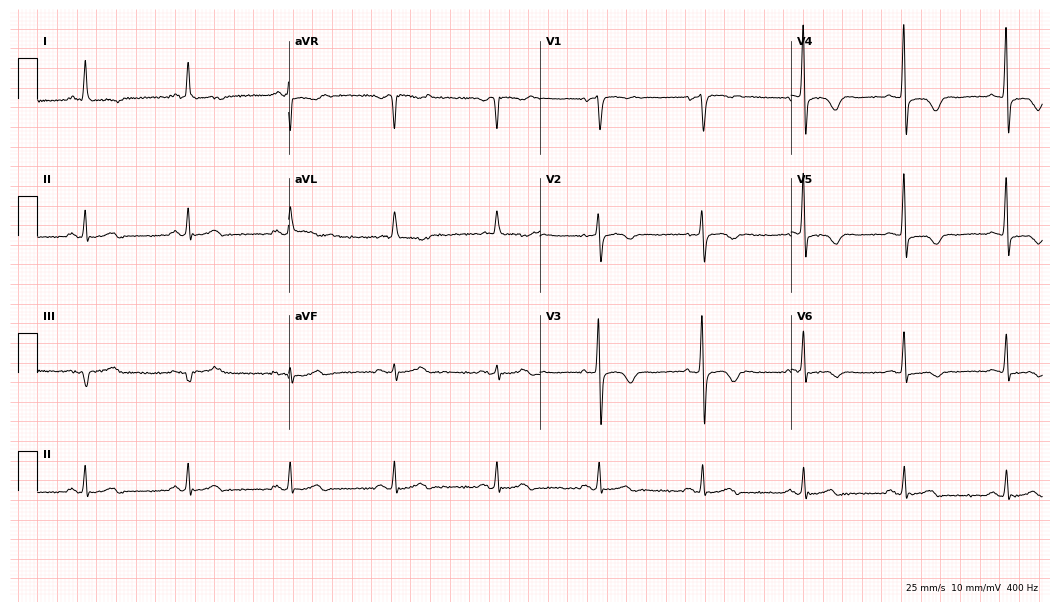
Standard 12-lead ECG recorded from a female patient, 72 years old (10.2-second recording at 400 Hz). None of these six findings is recorded: first-degree AV block, right bundle branch block (RBBB), left bundle branch block (LBBB), sinus bradycardia, atrial fibrillation (AF), sinus tachycardia. Other findings, if any, are not listed.